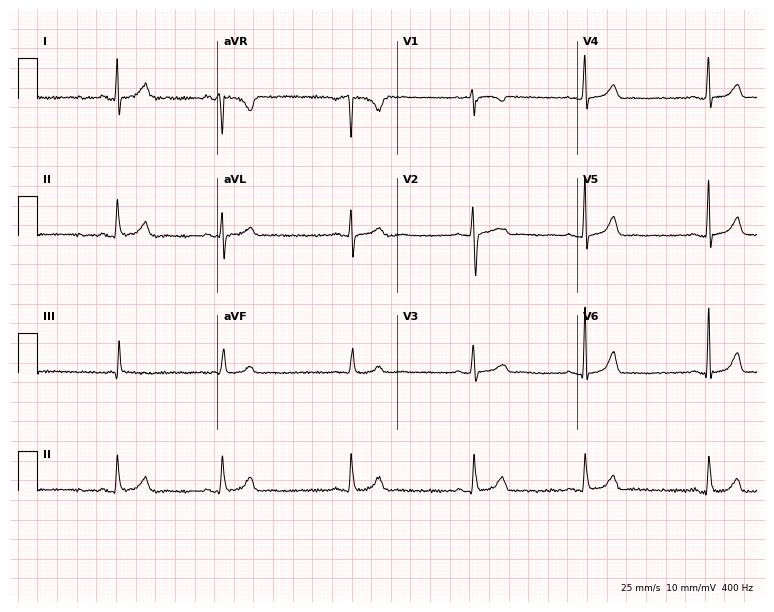
12-lead ECG from a 26-year-old female. Labelled as a normal ECG.